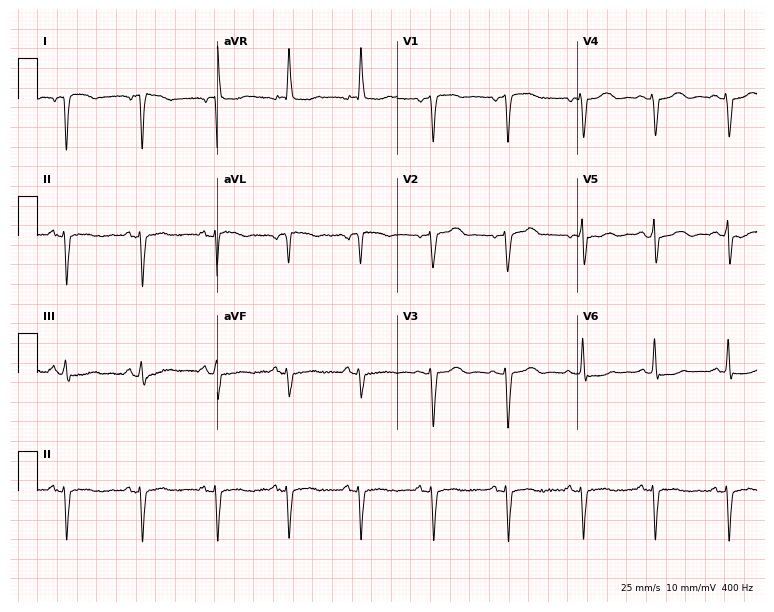
Resting 12-lead electrocardiogram. Patient: an 80-year-old female. None of these six findings is recorded: first-degree AV block, right bundle branch block, left bundle branch block, sinus bradycardia, atrial fibrillation, sinus tachycardia.